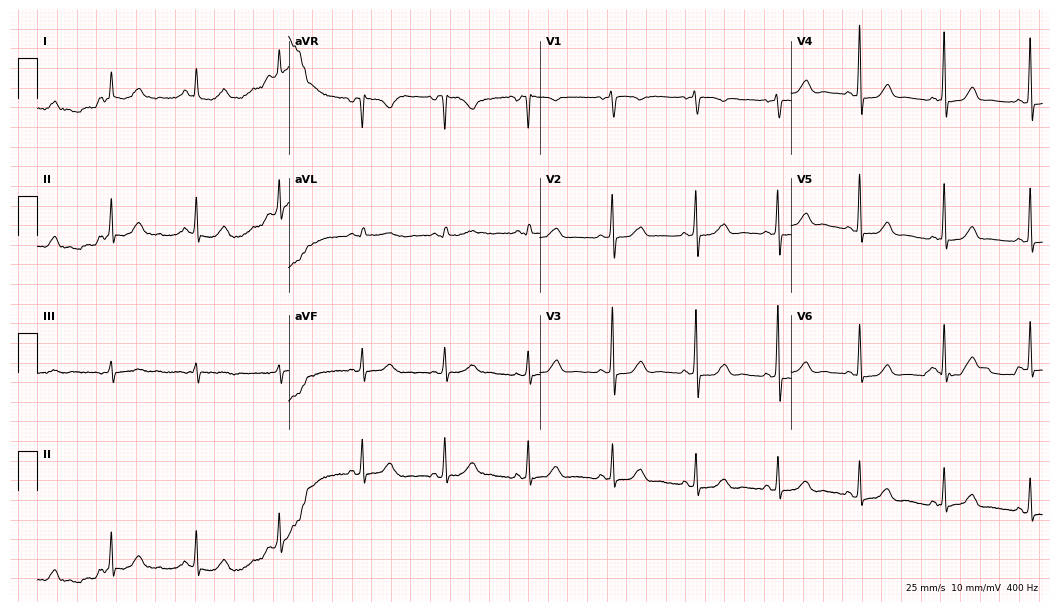
12-lead ECG (10.2-second recording at 400 Hz) from a female patient, 60 years old. Labelled as a normal ECG.